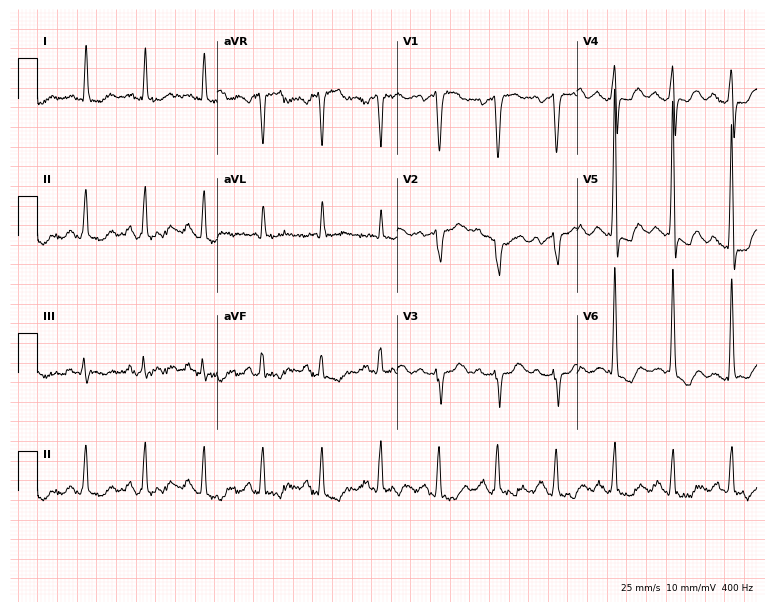
12-lead ECG from a female patient, 73 years old. Shows sinus tachycardia (a sinus rate of 100 beats per minute or more).